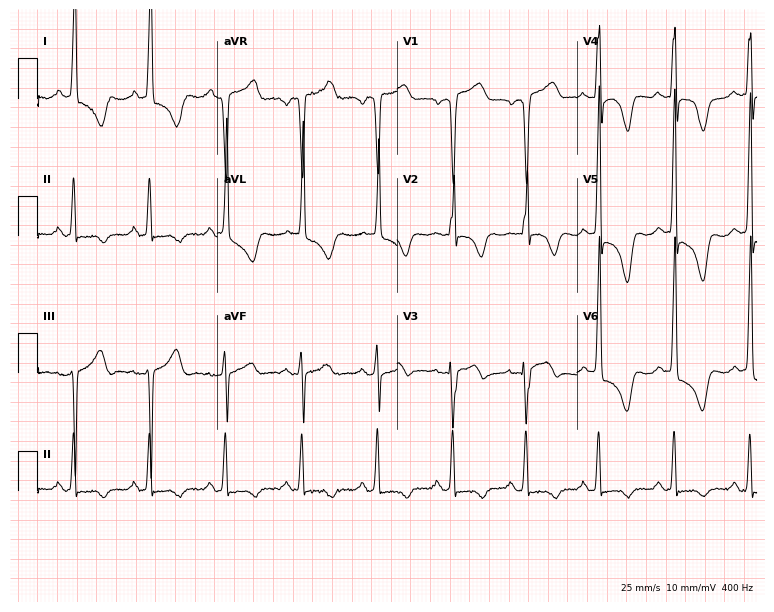
12-lead ECG from a woman, 53 years old (7.3-second recording at 400 Hz). No first-degree AV block, right bundle branch block, left bundle branch block, sinus bradycardia, atrial fibrillation or sinus tachycardia recorded for this tracing. Other findings, if any, are not listed.